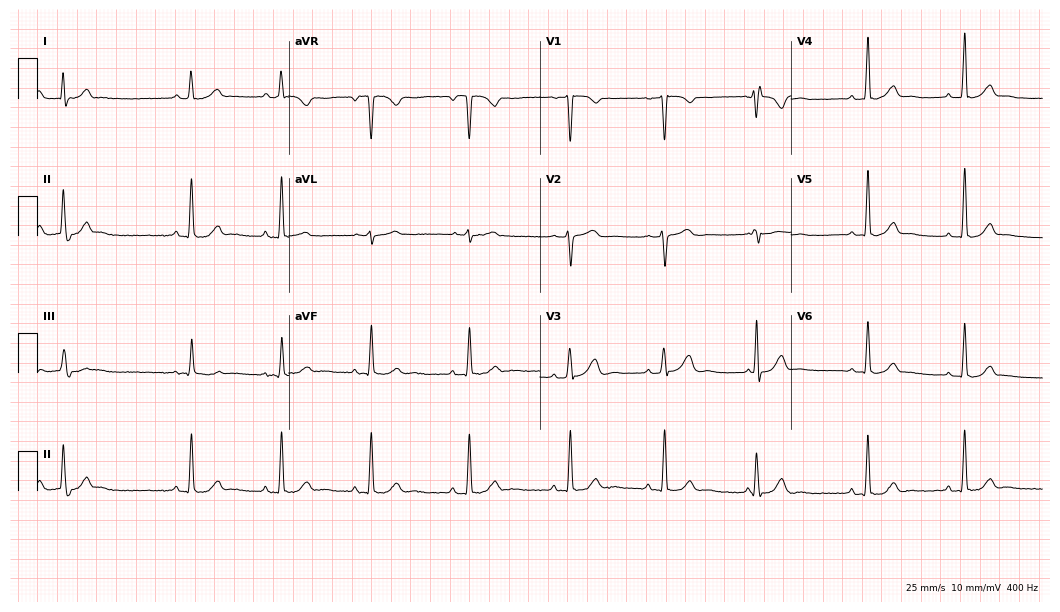
Electrocardiogram, a female patient, 38 years old. Overall reading on record: normal ECG.